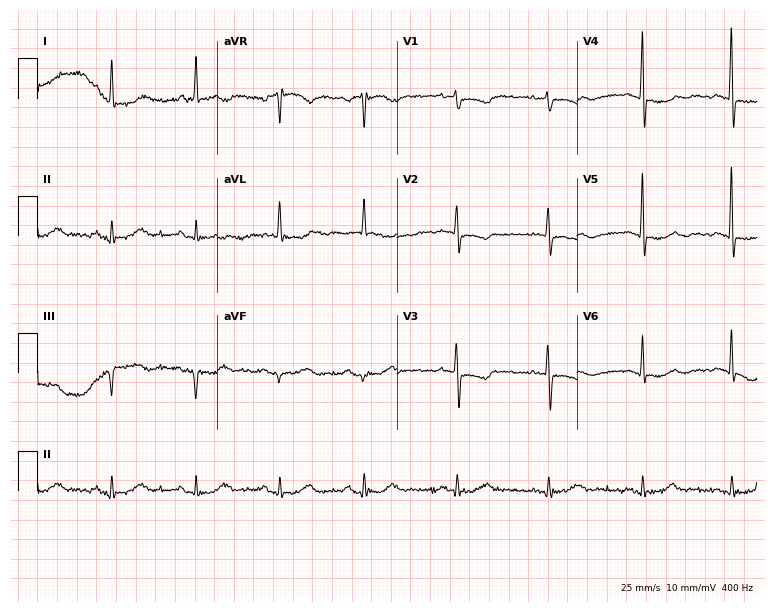
ECG (7.3-second recording at 400 Hz) — a woman, 85 years old. Screened for six findings — first-degree AV block, right bundle branch block, left bundle branch block, sinus bradycardia, atrial fibrillation, sinus tachycardia — none is recorded.